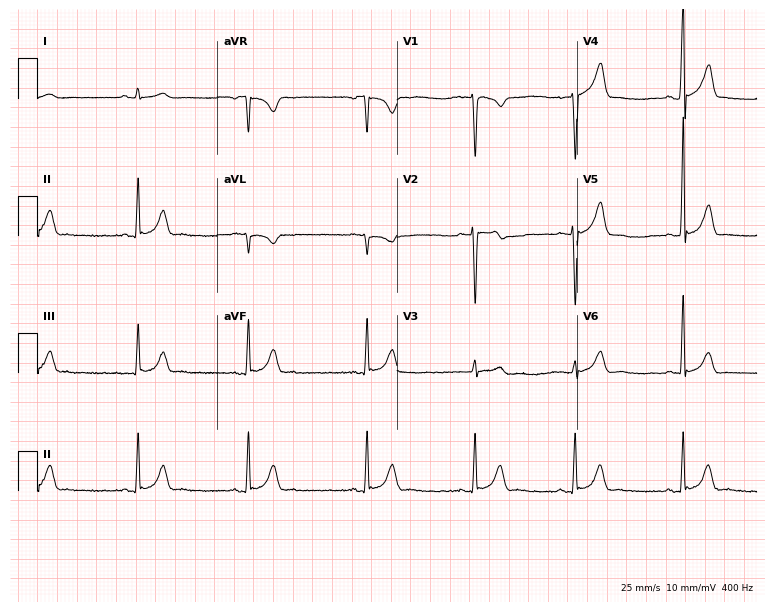
12-lead ECG from a male, 21 years old (7.3-second recording at 400 Hz). Recorded interpretation: within normal limits.